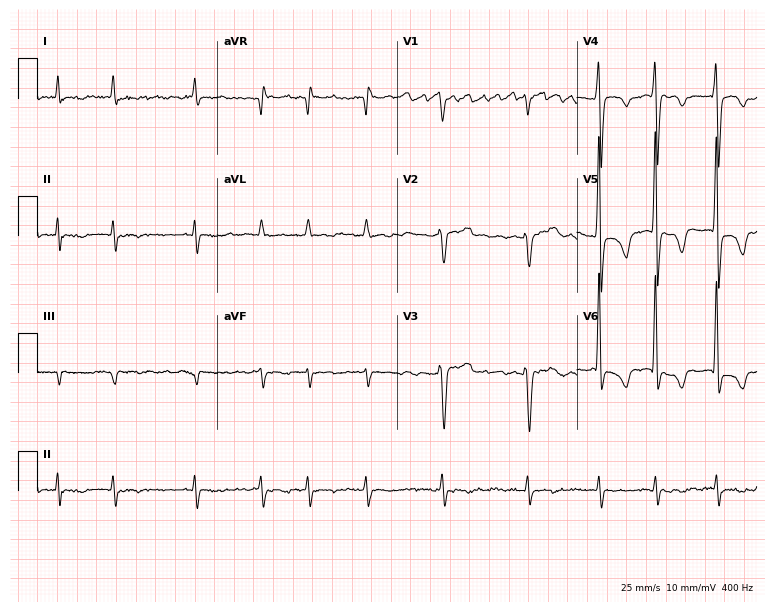
Electrocardiogram (7.3-second recording at 400 Hz), a 78-year-old male. Of the six screened findings (first-degree AV block, right bundle branch block, left bundle branch block, sinus bradycardia, atrial fibrillation, sinus tachycardia), none is recorded.